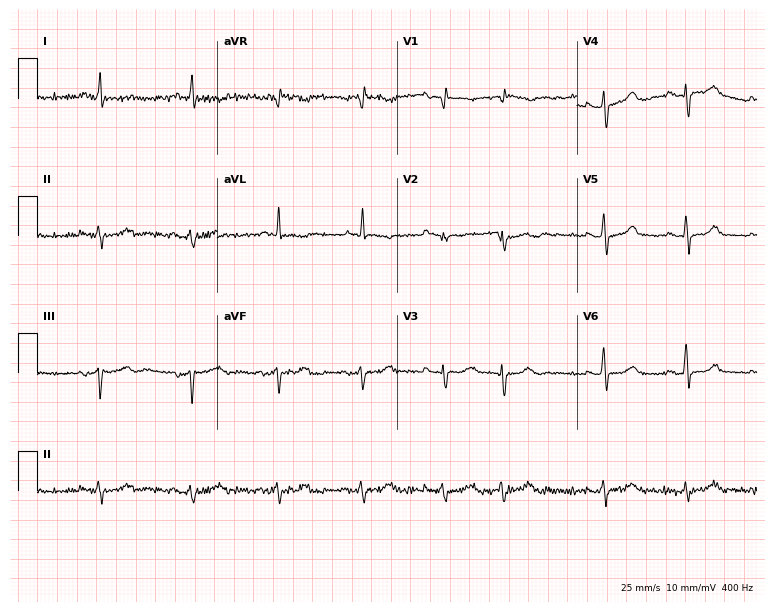
12-lead ECG from a male patient, 82 years old. No first-degree AV block, right bundle branch block, left bundle branch block, sinus bradycardia, atrial fibrillation or sinus tachycardia recorded for this tracing.